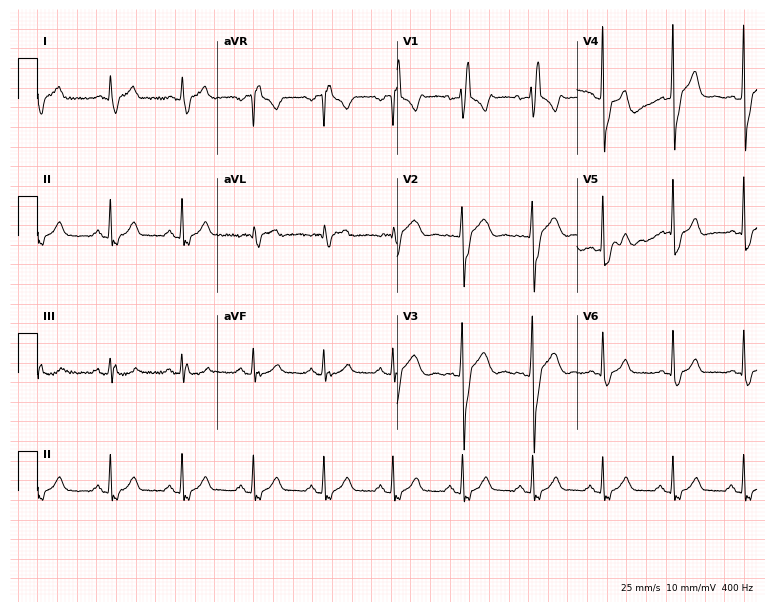
12-lead ECG from a 49-year-old man (7.3-second recording at 400 Hz). Shows right bundle branch block.